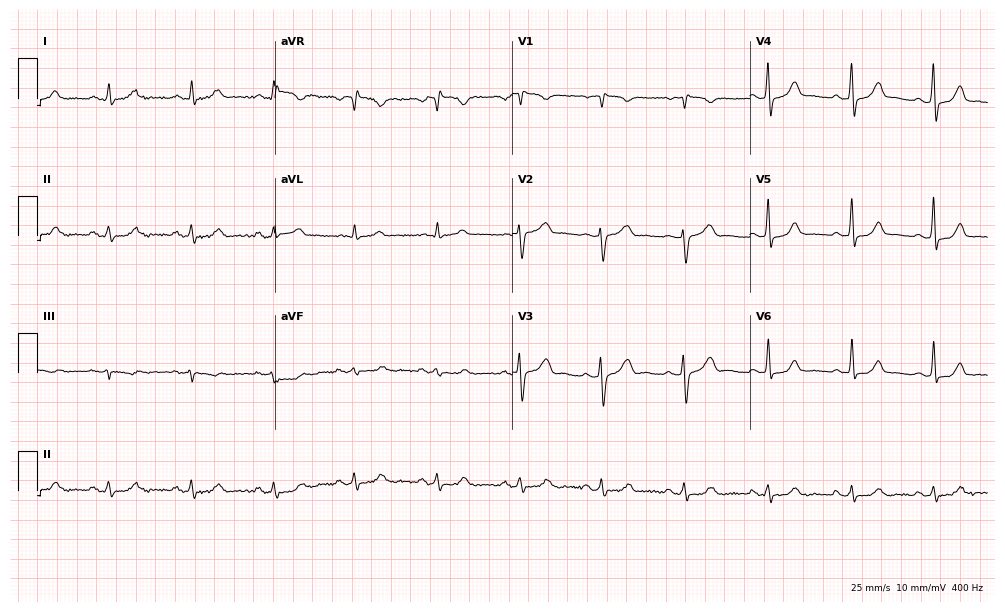
12-lead ECG (9.7-second recording at 400 Hz) from a 33-year-old woman. Labelled as a normal ECG.